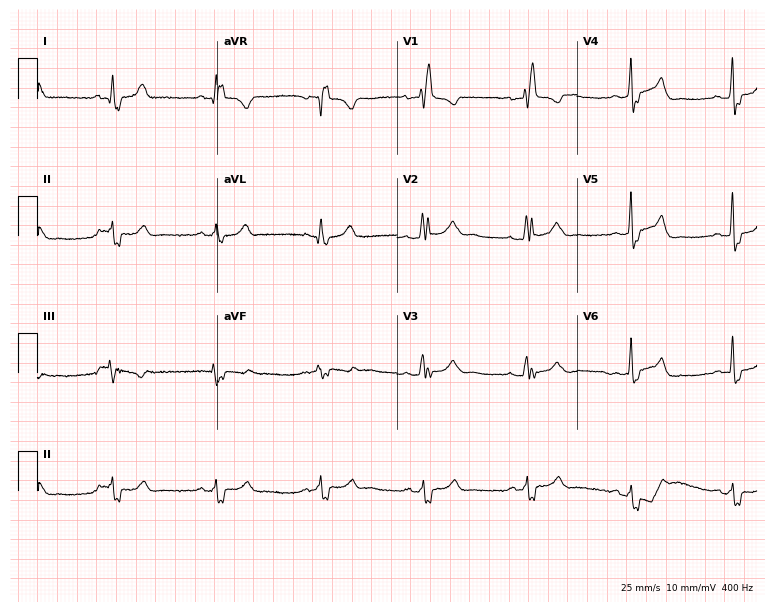
ECG (7.3-second recording at 400 Hz) — a woman, 49 years old. Findings include right bundle branch block.